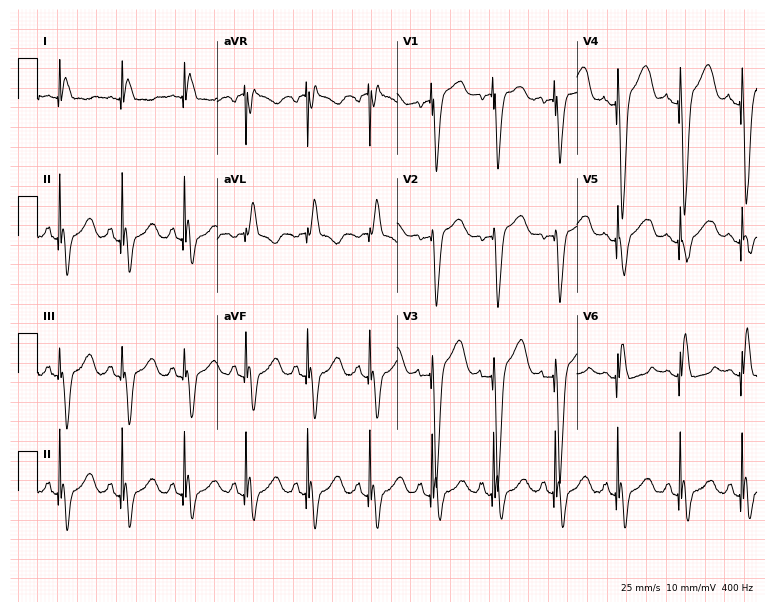
12-lead ECG from an 85-year-old female patient (7.3-second recording at 400 Hz). No first-degree AV block, right bundle branch block, left bundle branch block, sinus bradycardia, atrial fibrillation or sinus tachycardia recorded for this tracing. Other findings, if any, are not listed.